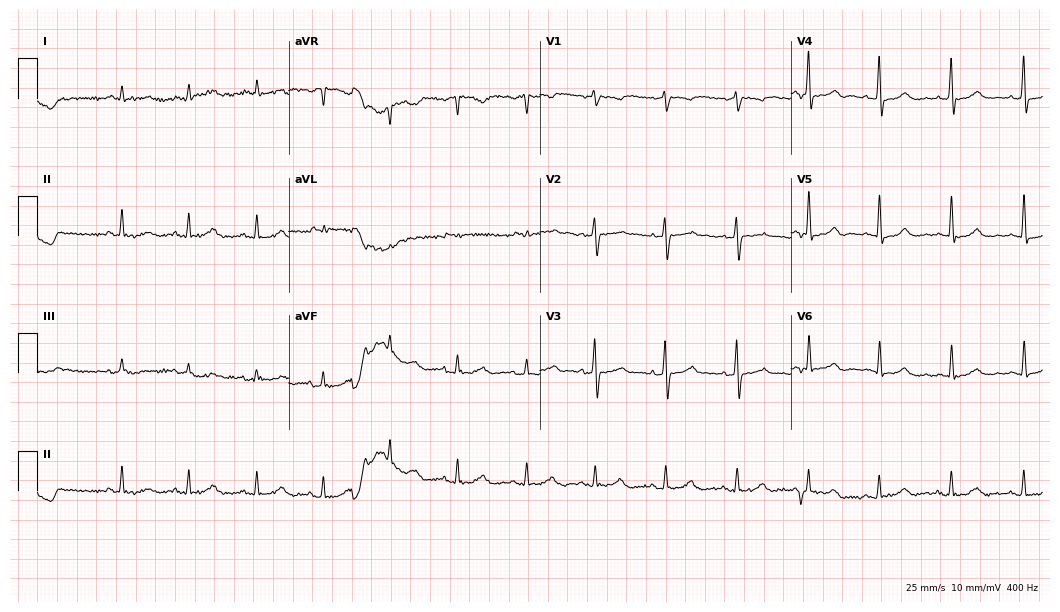
Electrocardiogram, a male patient, 72 years old. Of the six screened findings (first-degree AV block, right bundle branch block, left bundle branch block, sinus bradycardia, atrial fibrillation, sinus tachycardia), none is recorded.